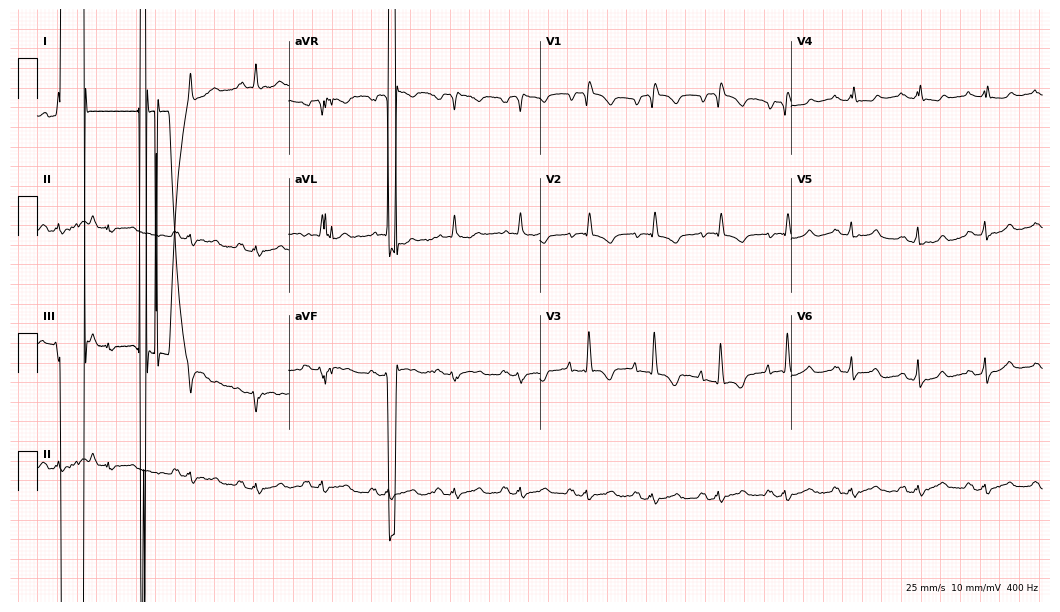
Resting 12-lead electrocardiogram (10.2-second recording at 400 Hz). Patient: a 67-year-old female. The tracing shows right bundle branch block (RBBB), atrial fibrillation (AF).